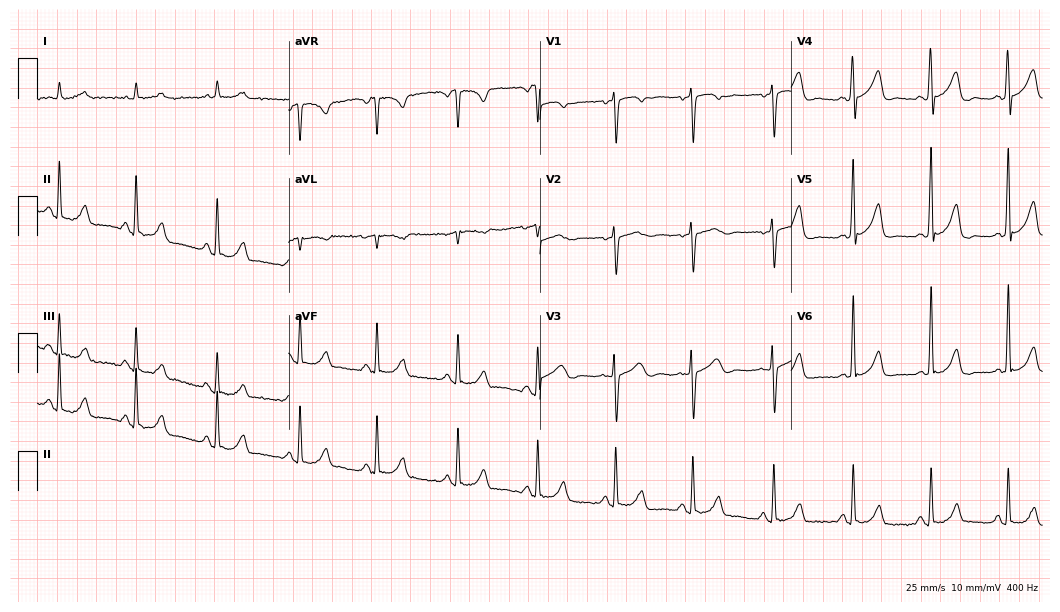
12-lead ECG from a 68-year-old female. Labelled as a normal ECG.